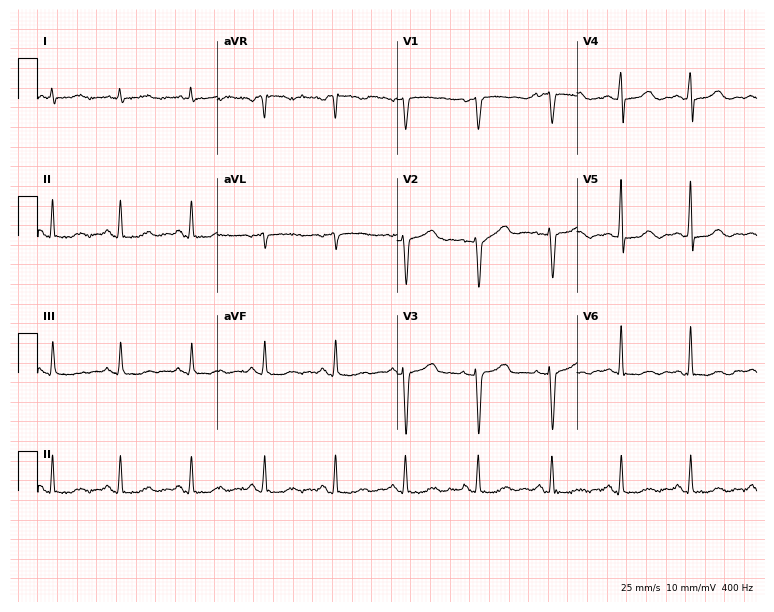
Electrocardiogram, a woman, 42 years old. Of the six screened findings (first-degree AV block, right bundle branch block, left bundle branch block, sinus bradycardia, atrial fibrillation, sinus tachycardia), none is recorded. Other findings, if any, are not listed.